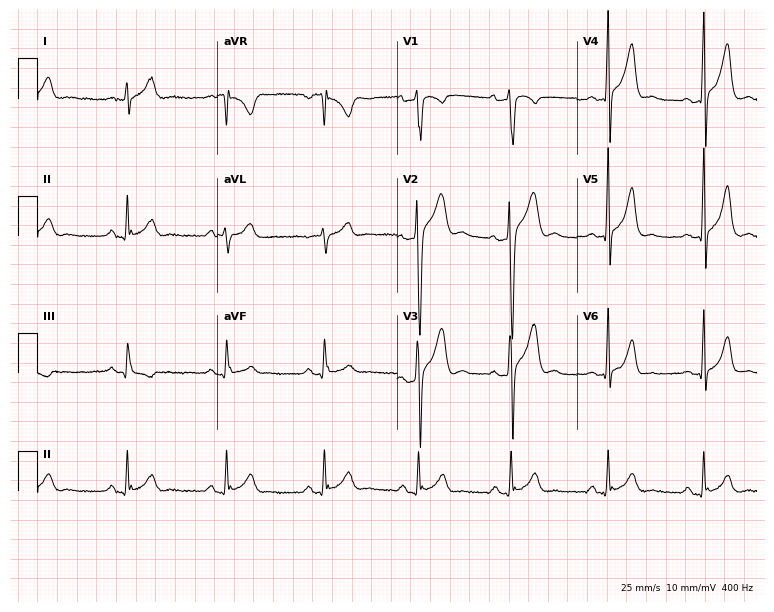
ECG — a male, 36 years old. Screened for six findings — first-degree AV block, right bundle branch block (RBBB), left bundle branch block (LBBB), sinus bradycardia, atrial fibrillation (AF), sinus tachycardia — none is recorded.